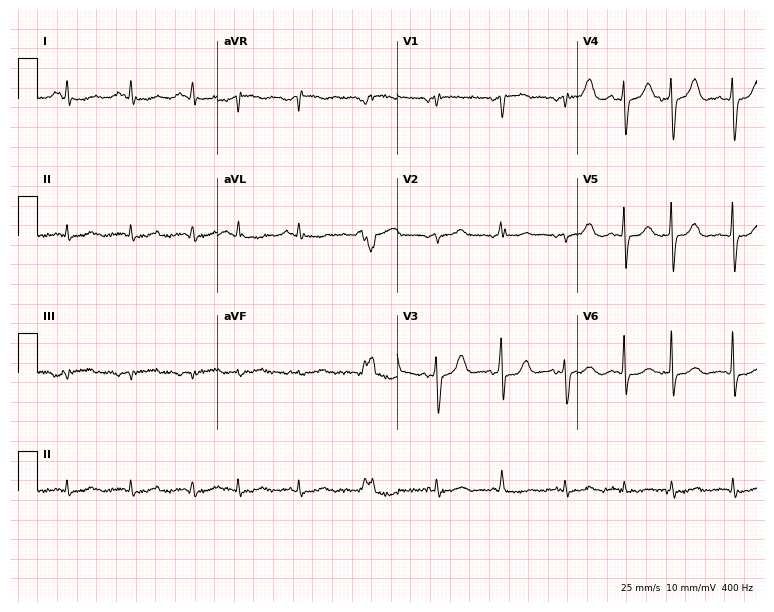
12-lead ECG from a 76-year-old man. Screened for six findings — first-degree AV block, right bundle branch block, left bundle branch block, sinus bradycardia, atrial fibrillation, sinus tachycardia — none is recorded.